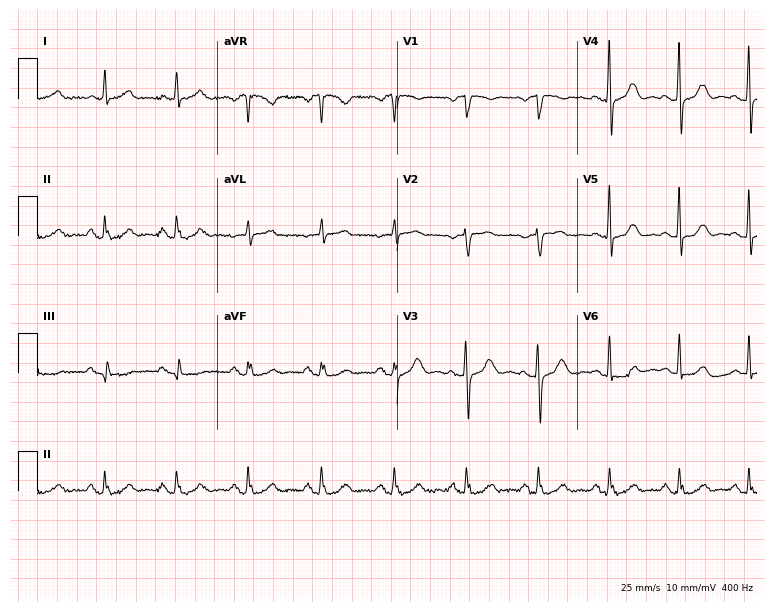
Standard 12-lead ECG recorded from a woman, 64 years old. Read as a normal ECG.